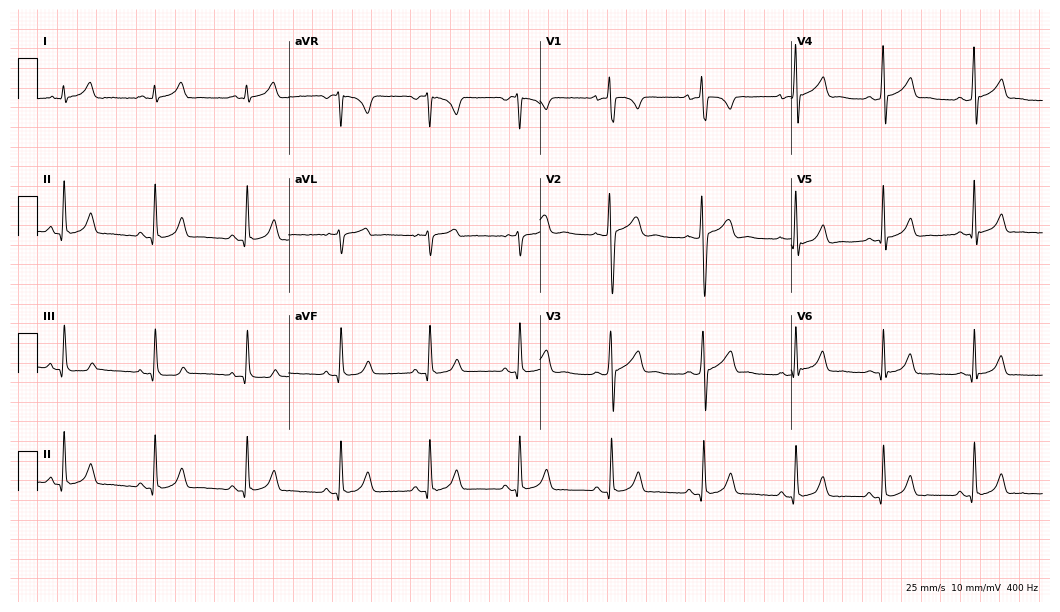
Electrocardiogram (10.2-second recording at 400 Hz), a male patient, 20 years old. Of the six screened findings (first-degree AV block, right bundle branch block (RBBB), left bundle branch block (LBBB), sinus bradycardia, atrial fibrillation (AF), sinus tachycardia), none is recorded. Findings outside these six are not listed.